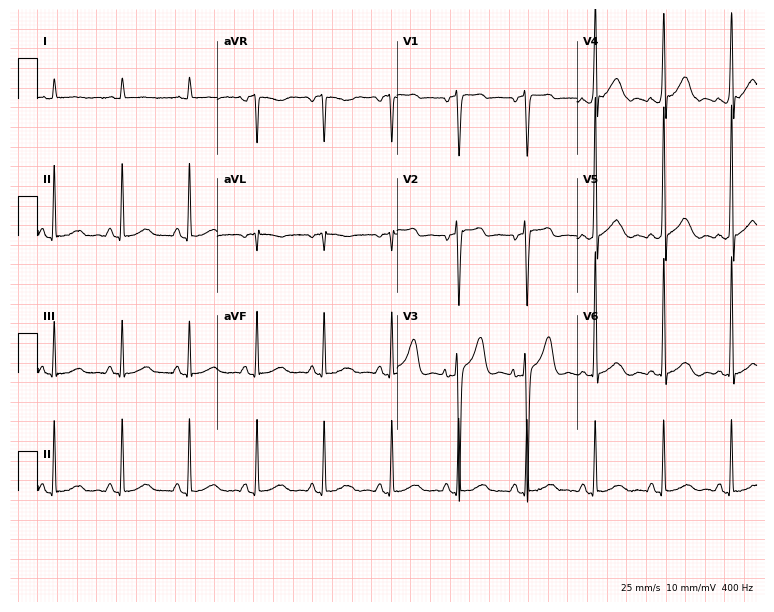
Electrocardiogram, a 59-year-old male patient. Of the six screened findings (first-degree AV block, right bundle branch block, left bundle branch block, sinus bradycardia, atrial fibrillation, sinus tachycardia), none is recorded. Findings outside these six are not listed.